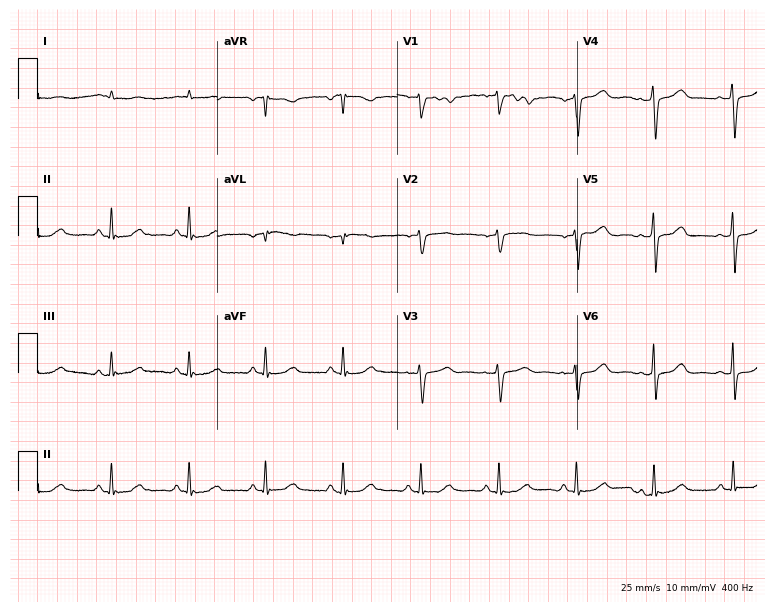
Resting 12-lead electrocardiogram. Patient: a male, 79 years old. None of these six findings is recorded: first-degree AV block, right bundle branch block, left bundle branch block, sinus bradycardia, atrial fibrillation, sinus tachycardia.